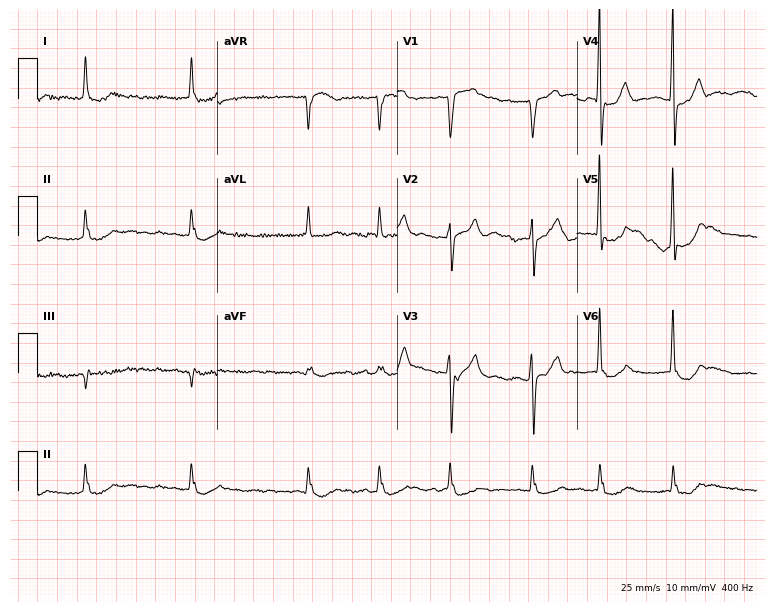
Electrocardiogram, a male patient, 76 years old. Interpretation includes atrial fibrillation.